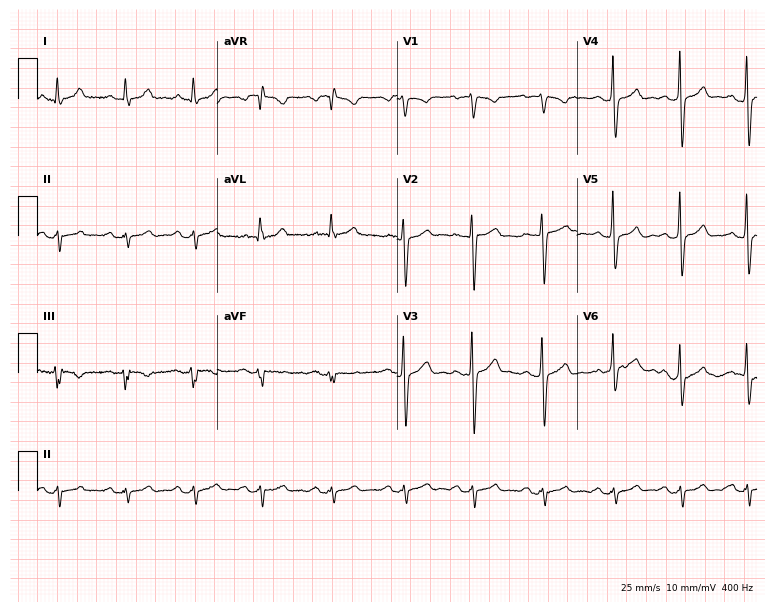
ECG (7.3-second recording at 400 Hz) — a 54-year-old male. Screened for six findings — first-degree AV block, right bundle branch block, left bundle branch block, sinus bradycardia, atrial fibrillation, sinus tachycardia — none is recorded. Only these six findings were labelled.